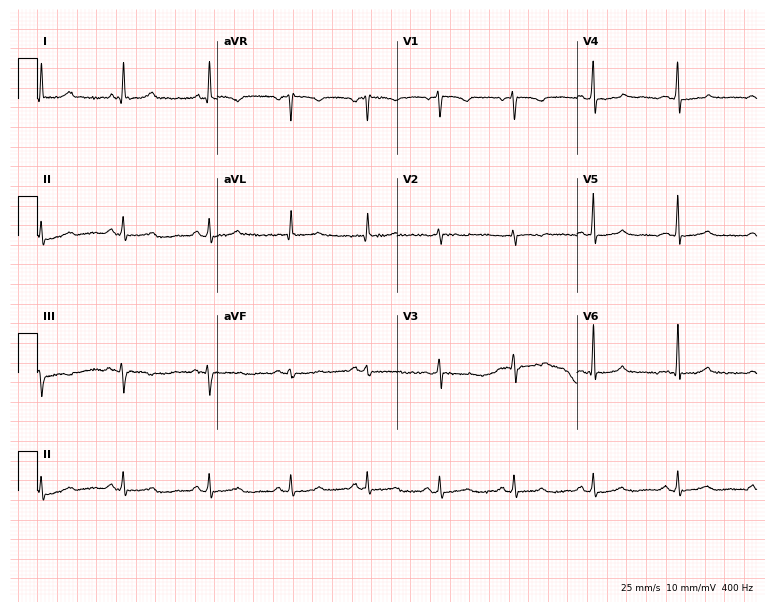
Standard 12-lead ECG recorded from a woman, 54 years old (7.3-second recording at 400 Hz). Read as a normal ECG.